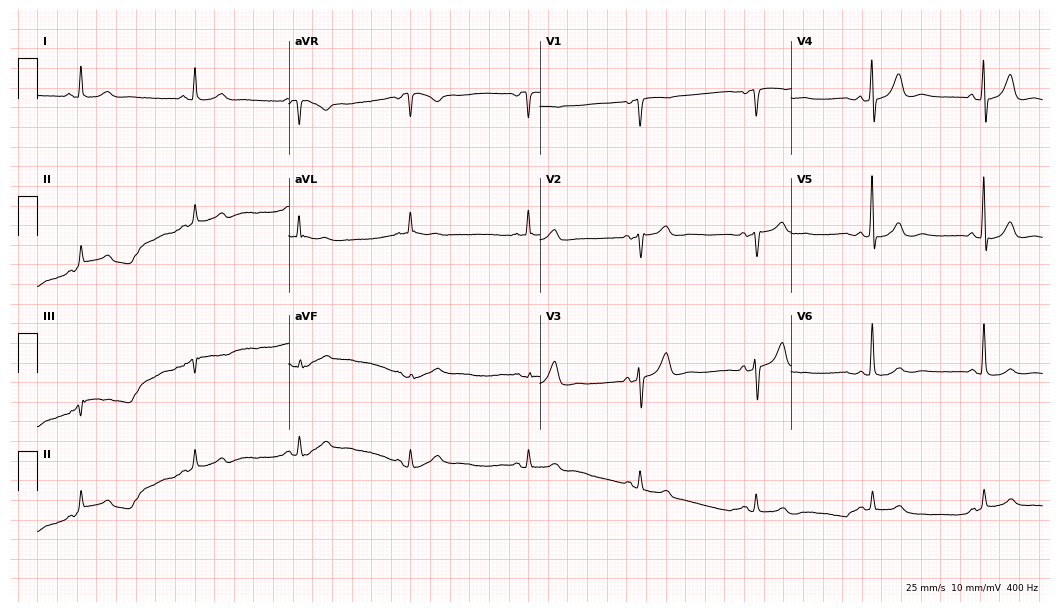
12-lead ECG from a woman, 73 years old. Recorded interpretation: within normal limits.